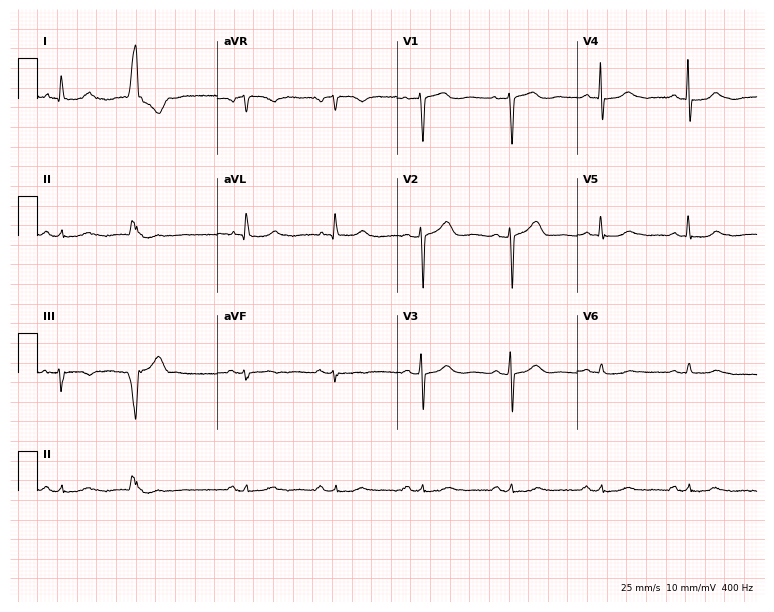
12-lead ECG (7.3-second recording at 400 Hz) from a female, 81 years old. Screened for six findings — first-degree AV block, right bundle branch block, left bundle branch block, sinus bradycardia, atrial fibrillation, sinus tachycardia — none is recorded.